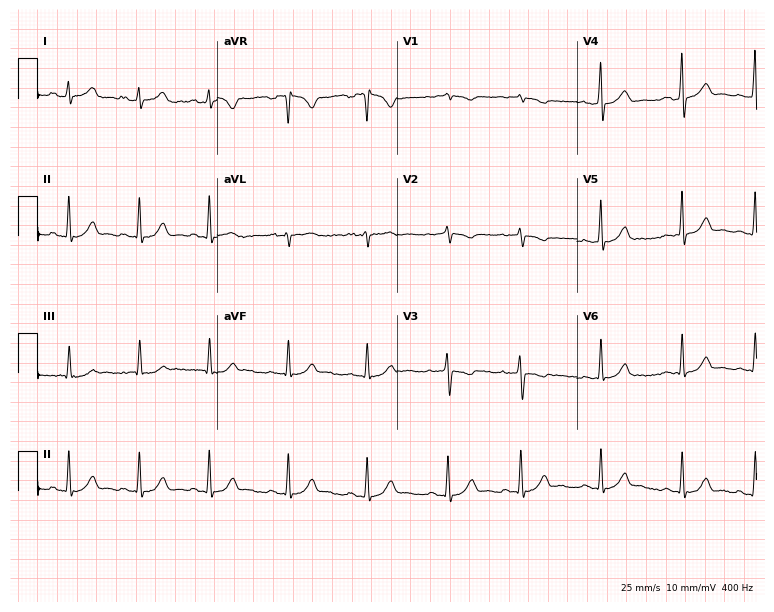
ECG — a 20-year-old female. Screened for six findings — first-degree AV block, right bundle branch block, left bundle branch block, sinus bradycardia, atrial fibrillation, sinus tachycardia — none is recorded.